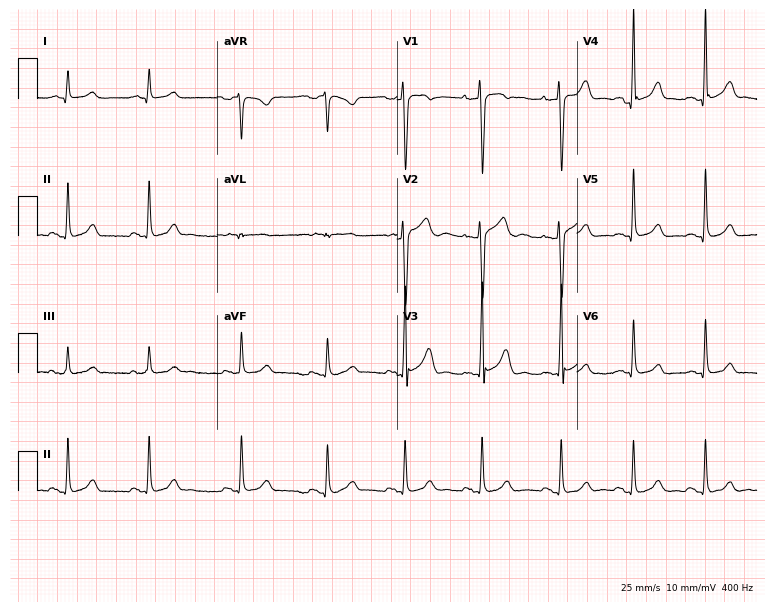
Electrocardiogram (7.3-second recording at 400 Hz), a 24-year-old male. Of the six screened findings (first-degree AV block, right bundle branch block, left bundle branch block, sinus bradycardia, atrial fibrillation, sinus tachycardia), none is recorded. Only these six findings were labelled.